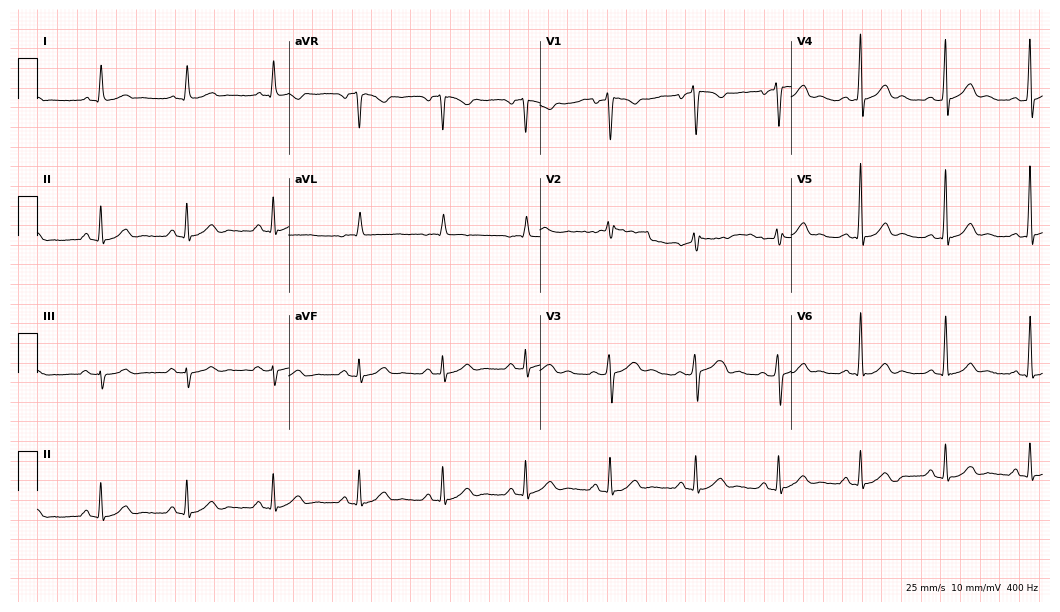
Resting 12-lead electrocardiogram (10.2-second recording at 400 Hz). Patient: a 39-year-old woman. Read as a normal ECG.